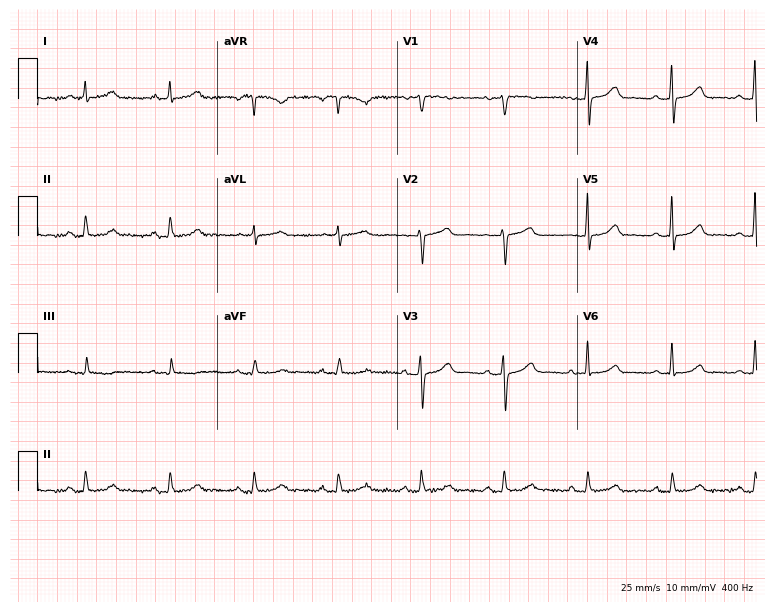
Standard 12-lead ECG recorded from a 64-year-old woman. Read as a normal ECG.